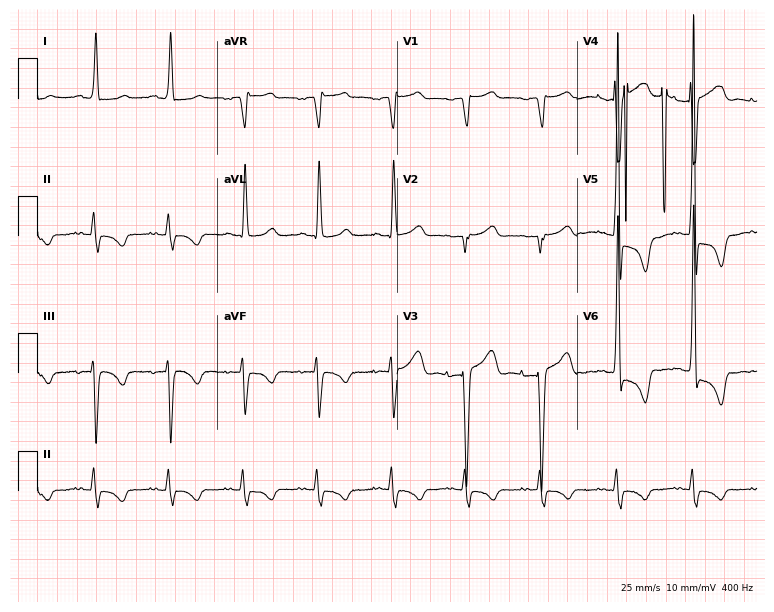
ECG (7.3-second recording at 400 Hz) — a female patient, 23 years old. Screened for six findings — first-degree AV block, right bundle branch block, left bundle branch block, sinus bradycardia, atrial fibrillation, sinus tachycardia — none is recorded.